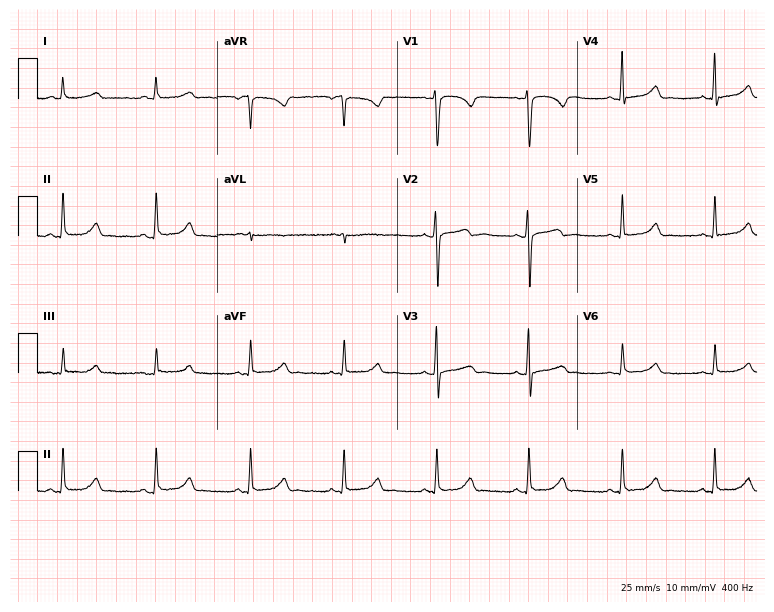
12-lead ECG from a female patient, 30 years old (7.3-second recording at 400 Hz). No first-degree AV block, right bundle branch block, left bundle branch block, sinus bradycardia, atrial fibrillation or sinus tachycardia recorded for this tracing. Only these six findings were labelled.